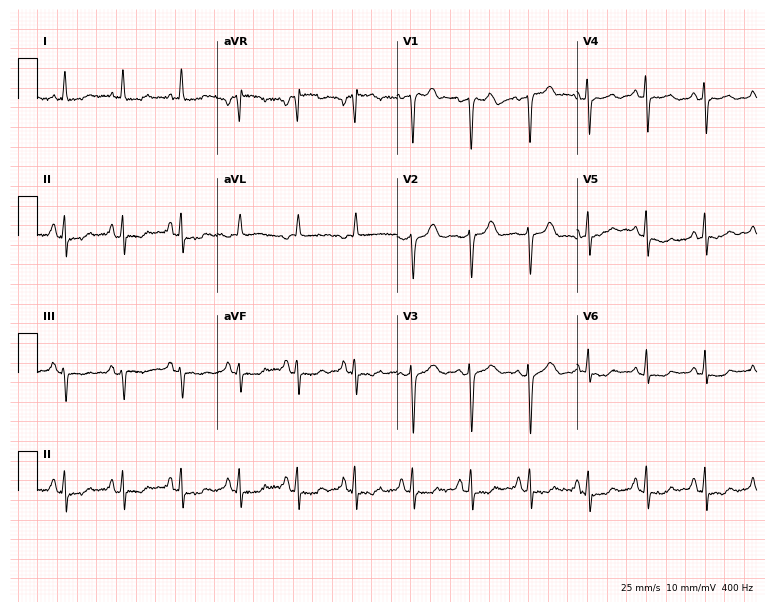
12-lead ECG (7.3-second recording at 400 Hz) from a female patient, 55 years old. Screened for six findings — first-degree AV block, right bundle branch block (RBBB), left bundle branch block (LBBB), sinus bradycardia, atrial fibrillation (AF), sinus tachycardia — none is recorded.